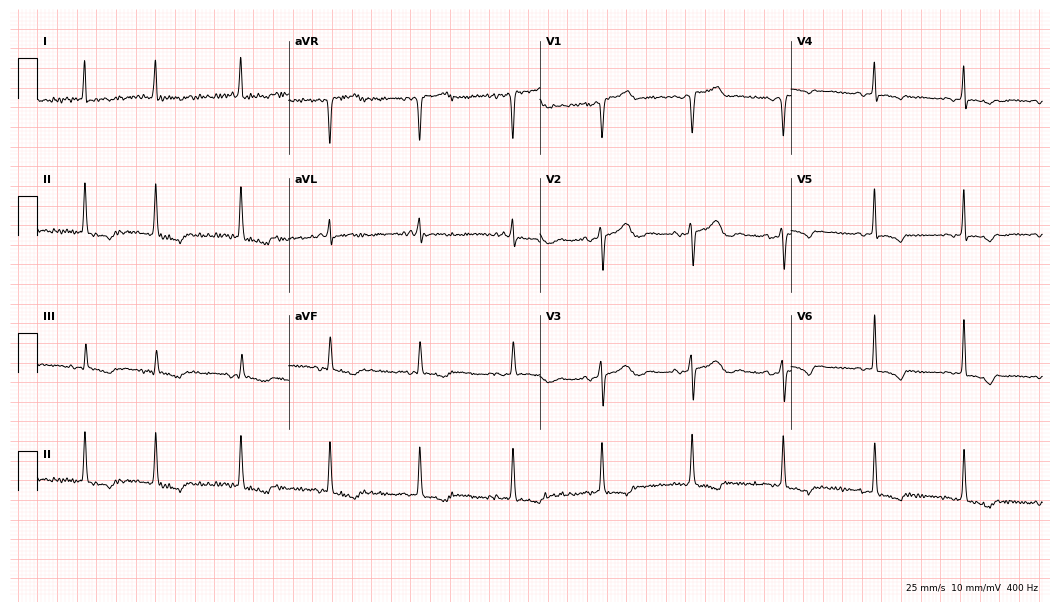
12-lead ECG from a female patient, 77 years old. Screened for six findings — first-degree AV block, right bundle branch block, left bundle branch block, sinus bradycardia, atrial fibrillation, sinus tachycardia — none is recorded.